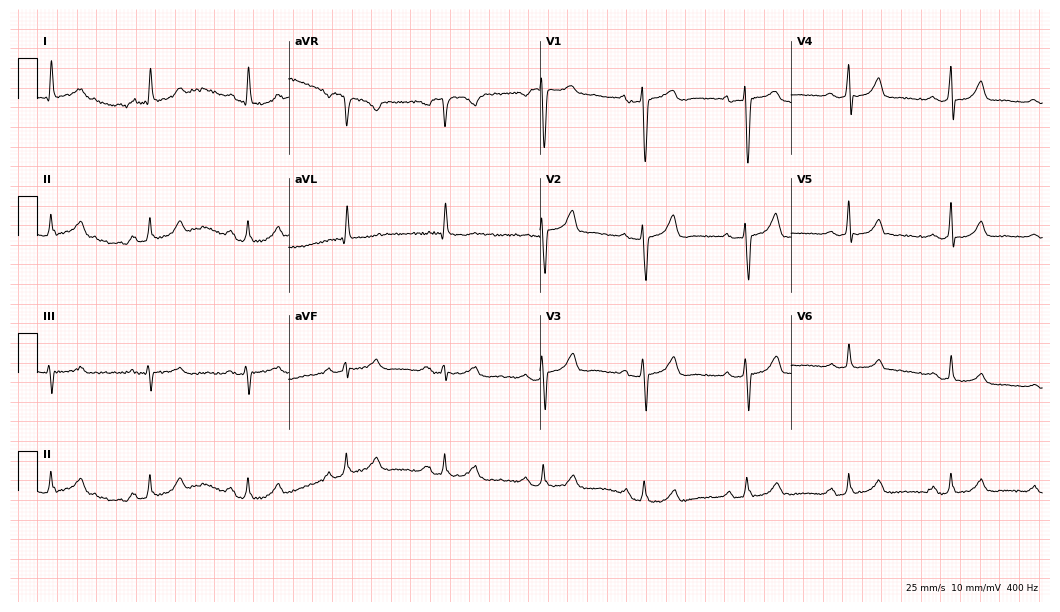
12-lead ECG from a 51-year-old woman. Recorded interpretation: within normal limits.